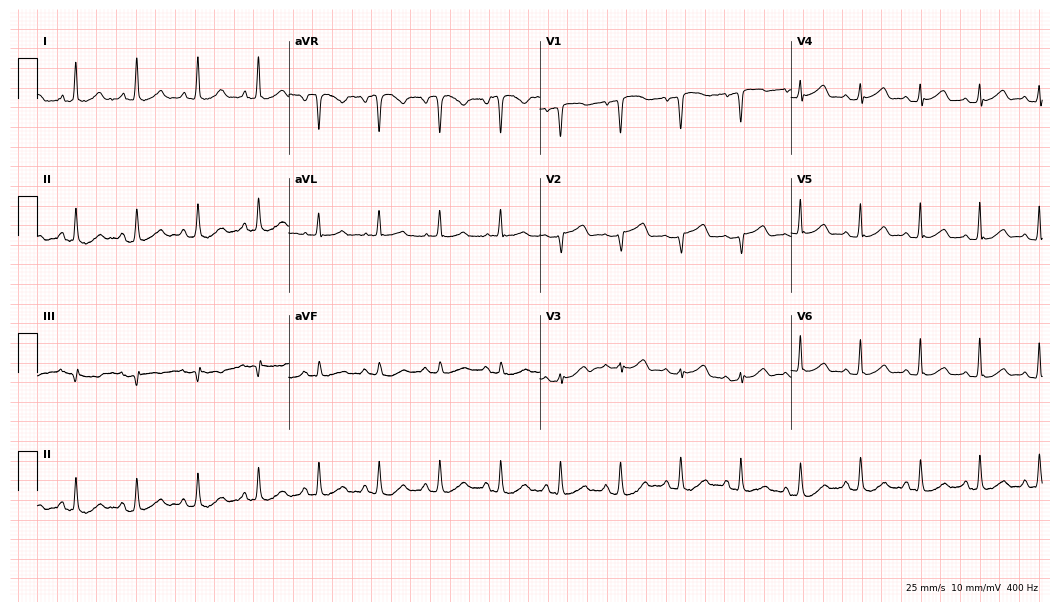
ECG (10.2-second recording at 400 Hz) — a 51-year-old female. Screened for six findings — first-degree AV block, right bundle branch block, left bundle branch block, sinus bradycardia, atrial fibrillation, sinus tachycardia — none is recorded. Findings outside these six are not listed.